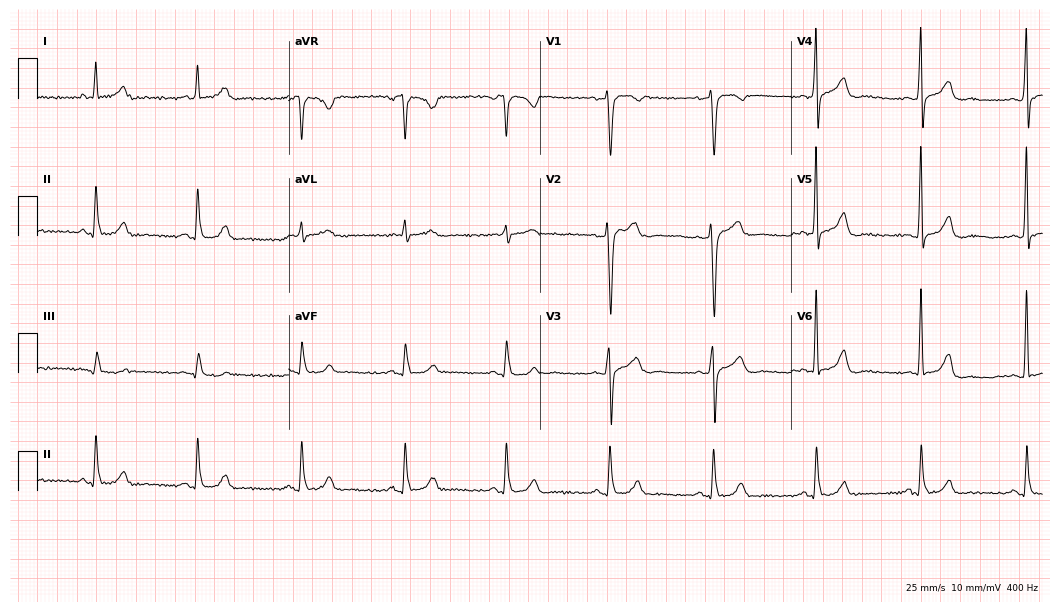
Standard 12-lead ECG recorded from a male, 48 years old. None of these six findings is recorded: first-degree AV block, right bundle branch block, left bundle branch block, sinus bradycardia, atrial fibrillation, sinus tachycardia. Only these six findings were labelled.